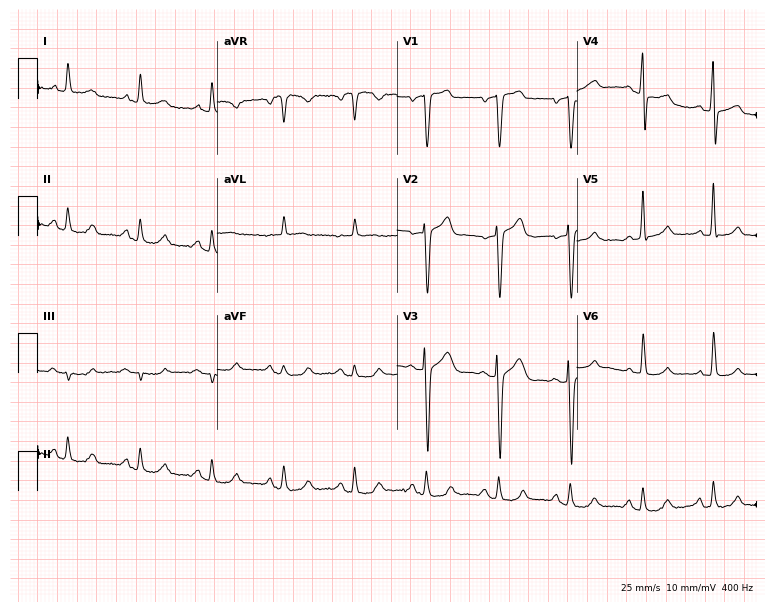
Electrocardiogram (7.3-second recording at 400 Hz), a male patient, 69 years old. Of the six screened findings (first-degree AV block, right bundle branch block, left bundle branch block, sinus bradycardia, atrial fibrillation, sinus tachycardia), none is recorded.